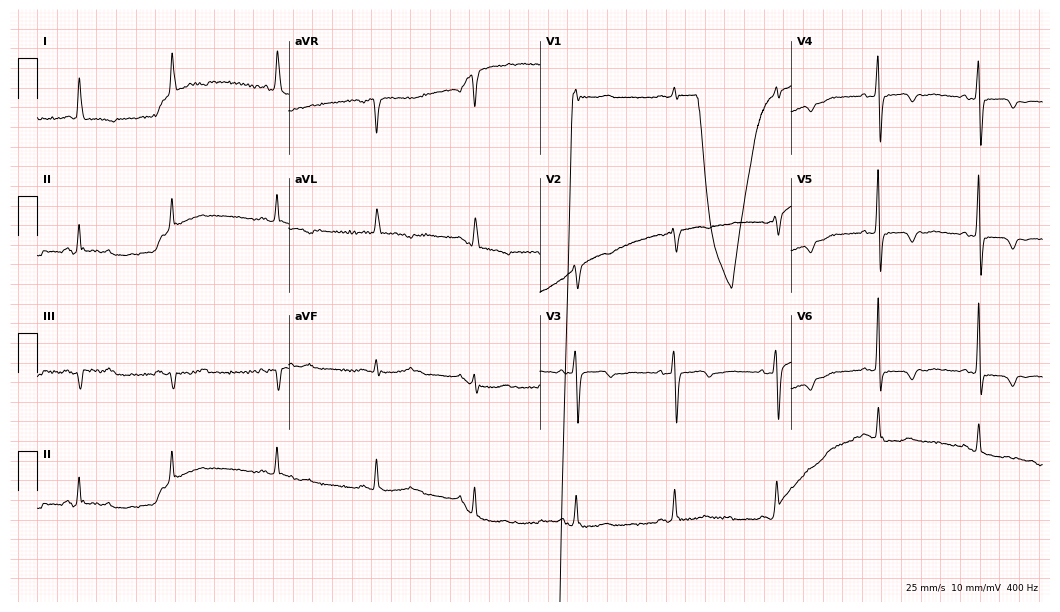
ECG (10.2-second recording at 400 Hz) — a female patient, 81 years old. Screened for six findings — first-degree AV block, right bundle branch block, left bundle branch block, sinus bradycardia, atrial fibrillation, sinus tachycardia — none is recorded.